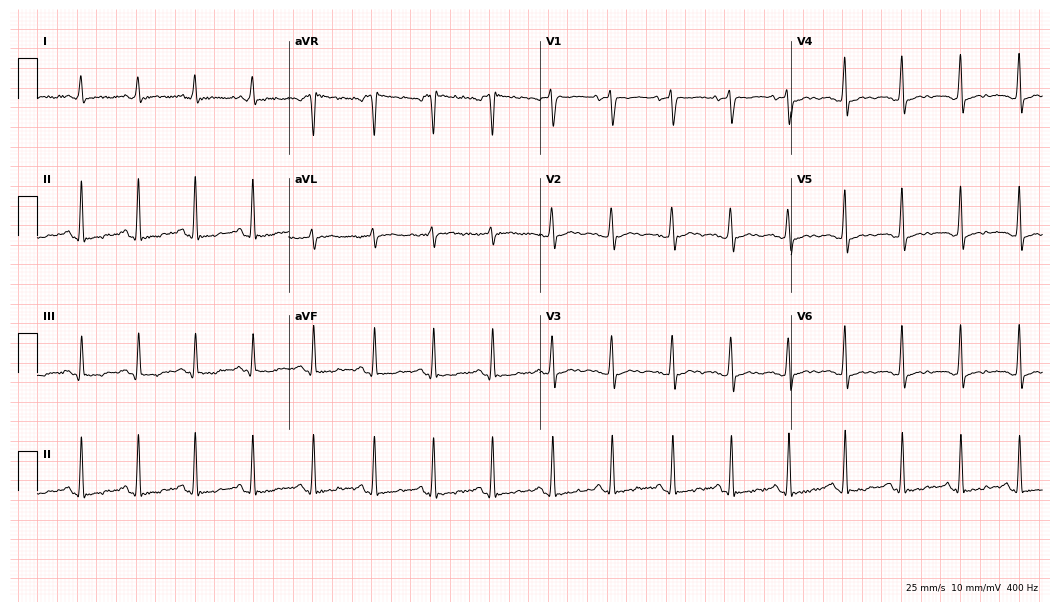
Standard 12-lead ECG recorded from a male, 31 years old. None of these six findings is recorded: first-degree AV block, right bundle branch block, left bundle branch block, sinus bradycardia, atrial fibrillation, sinus tachycardia. Other findings, if any, are not listed.